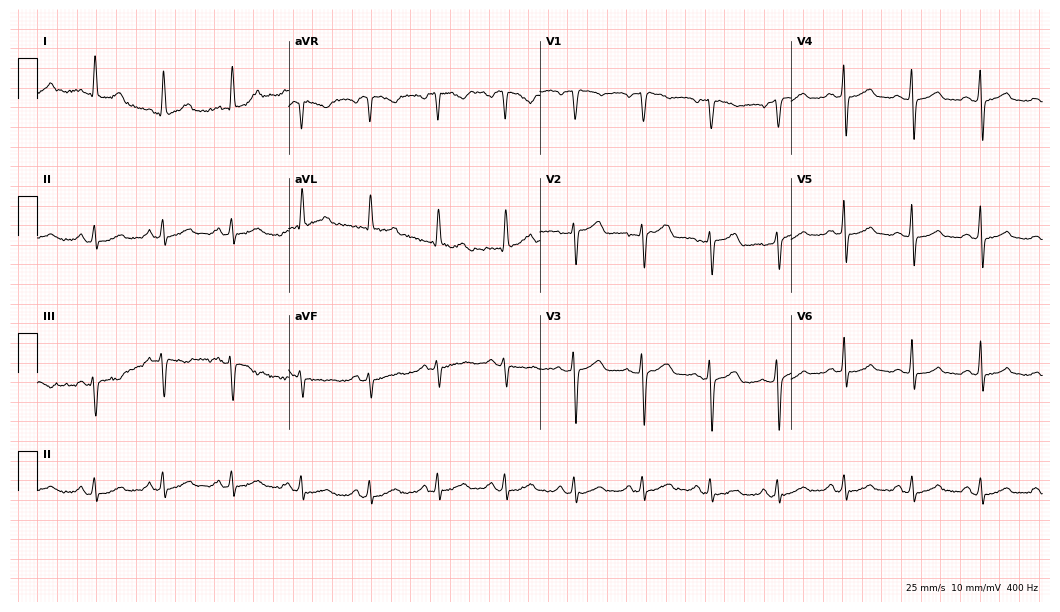
Electrocardiogram (10.2-second recording at 400 Hz), a woman, 57 years old. Overall reading on record: normal ECG.